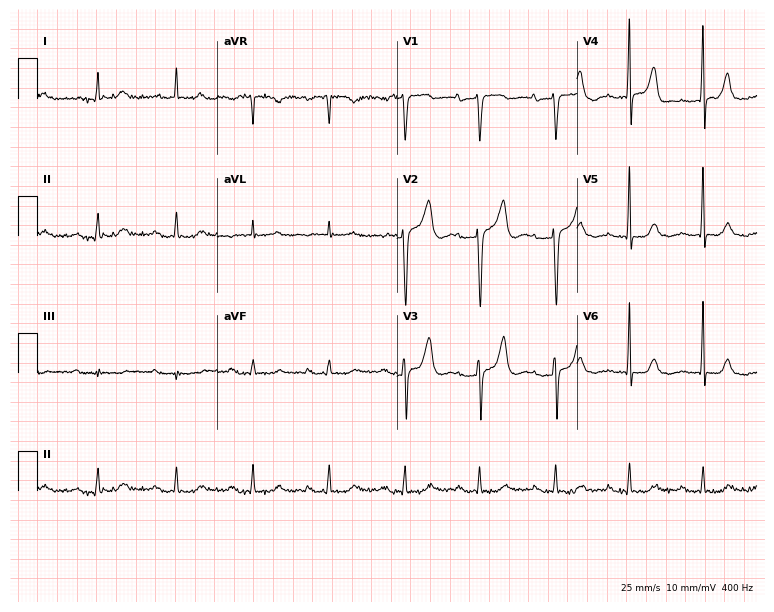
Standard 12-lead ECG recorded from an 81-year-old male patient. The tracing shows first-degree AV block.